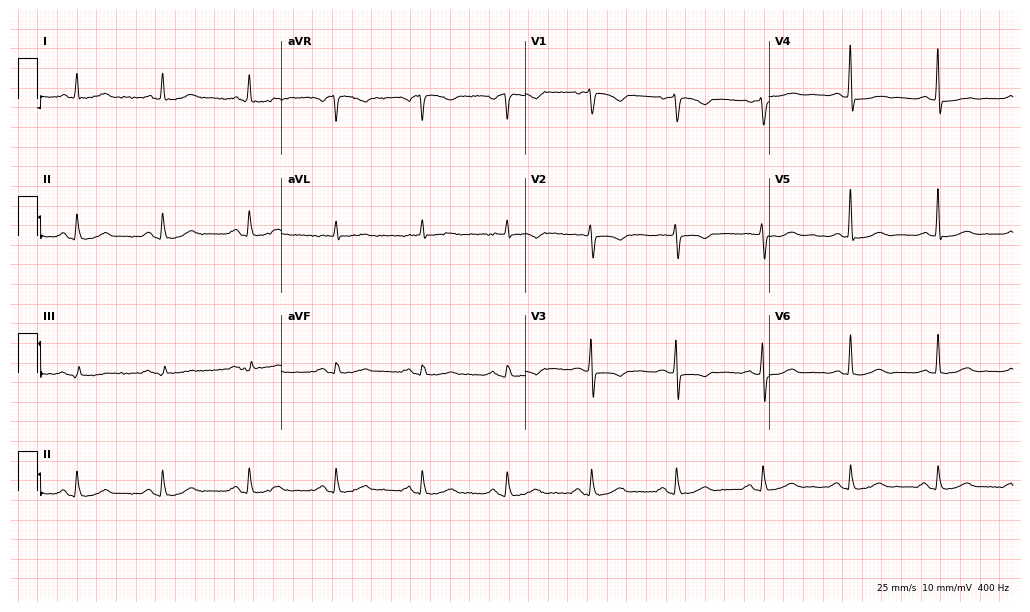
12-lead ECG from a 71-year-old female patient (9.9-second recording at 400 Hz). Recorded interpretation: within normal limits.